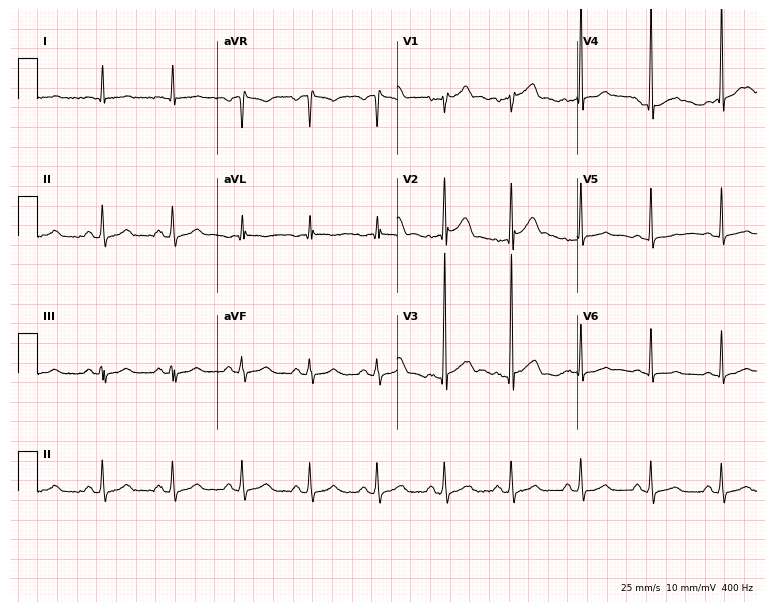
Standard 12-lead ECG recorded from a male patient, 48 years old. Read as a normal ECG.